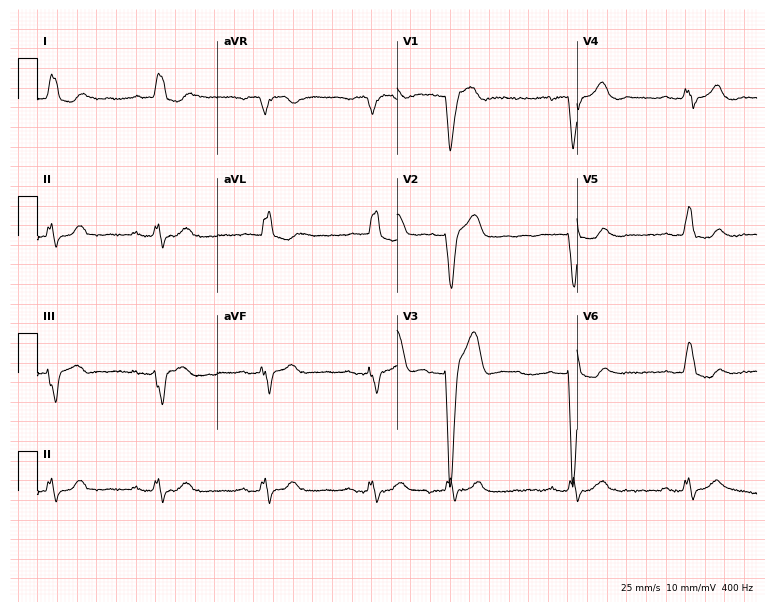
Standard 12-lead ECG recorded from a male patient, 88 years old (7.3-second recording at 400 Hz). The tracing shows first-degree AV block, left bundle branch block.